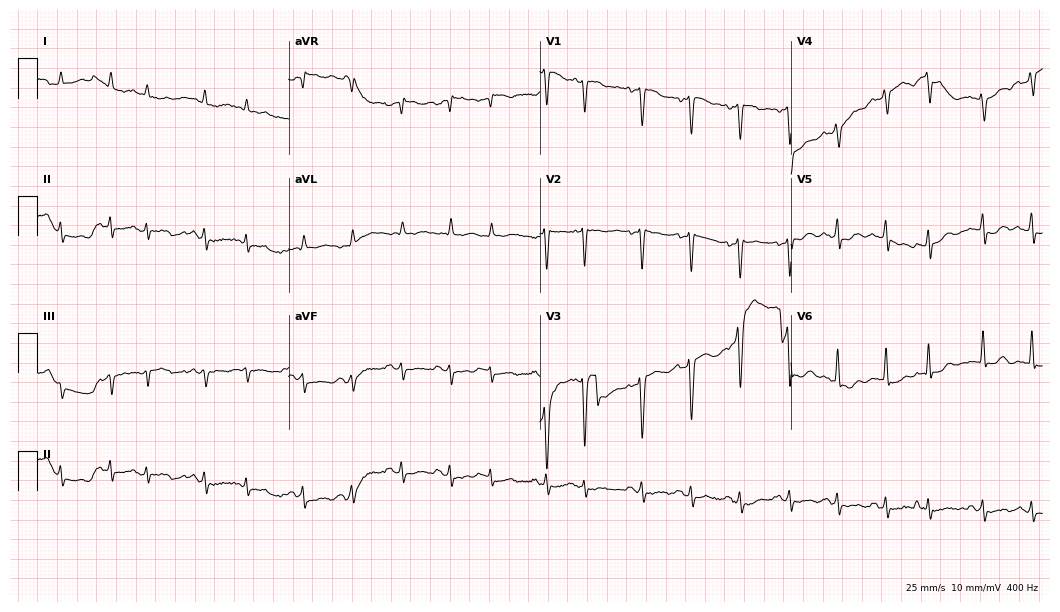
12-lead ECG from a 68-year-old man (10.2-second recording at 400 Hz). Shows sinus tachycardia (a sinus rate of 100 beats per minute or more).